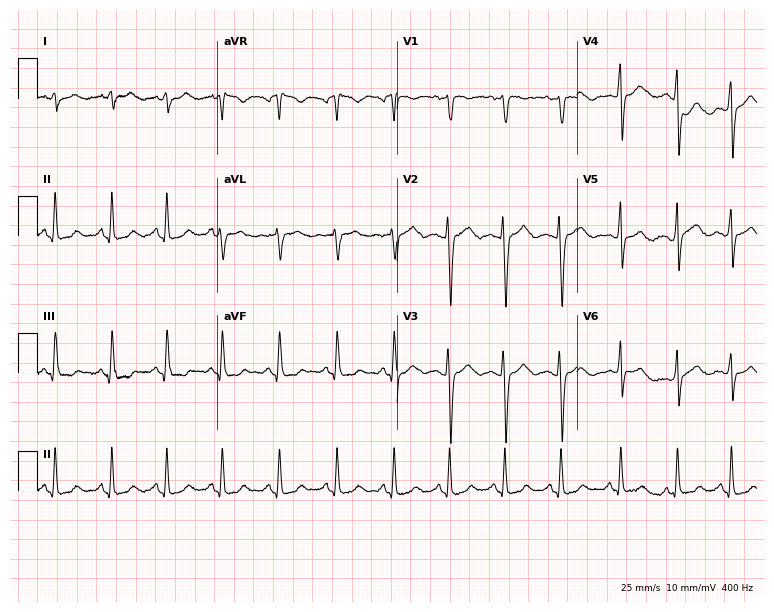
12-lead ECG (7.3-second recording at 400 Hz) from a female, 25 years old. Findings include sinus tachycardia (a sinus rate of 100 beats per minute or more).